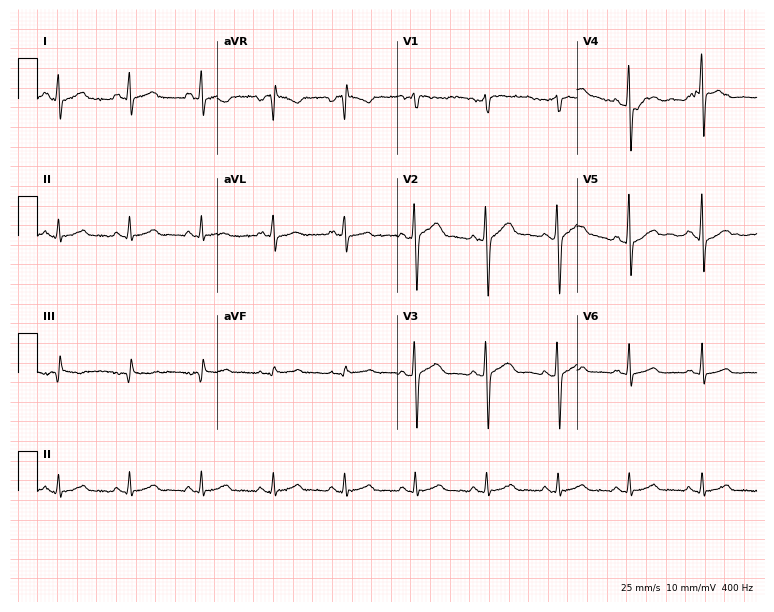
ECG — a man, 33 years old. Labelled as a normal ECG.